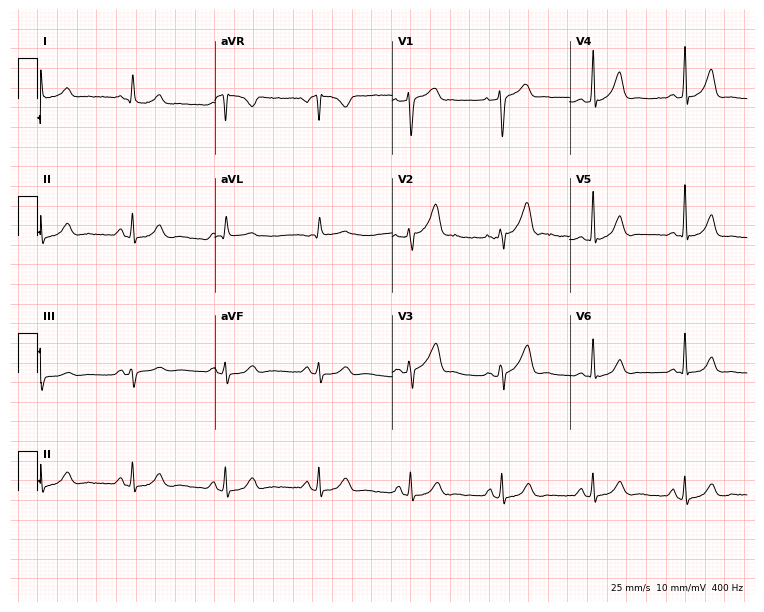
12-lead ECG from a male patient, 79 years old. Screened for six findings — first-degree AV block, right bundle branch block (RBBB), left bundle branch block (LBBB), sinus bradycardia, atrial fibrillation (AF), sinus tachycardia — none is recorded. Findings outside these six are not listed.